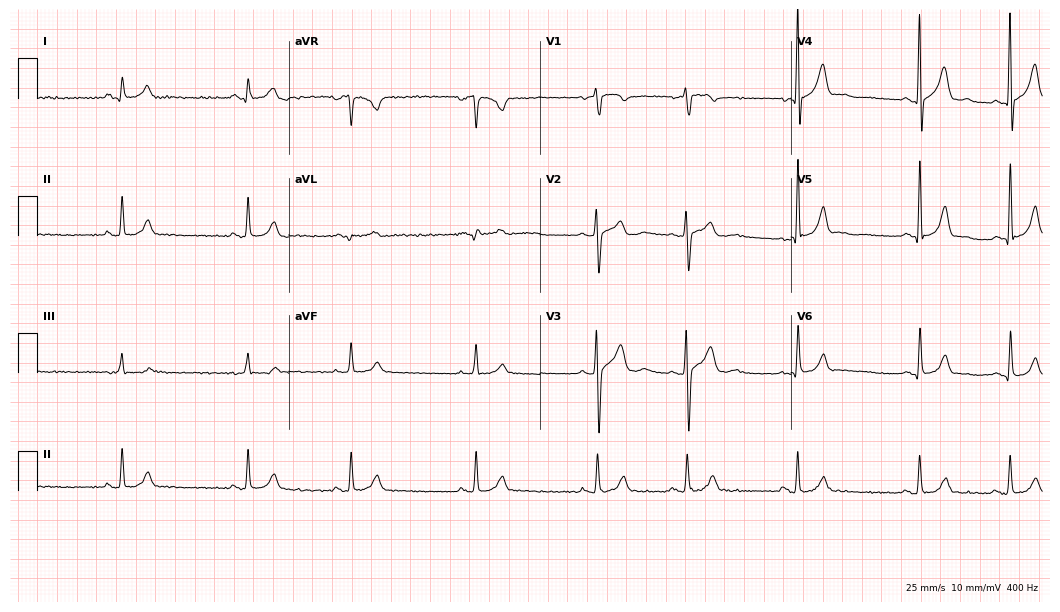
Electrocardiogram (10.2-second recording at 400 Hz), a man, 17 years old. Overall reading on record: normal ECG.